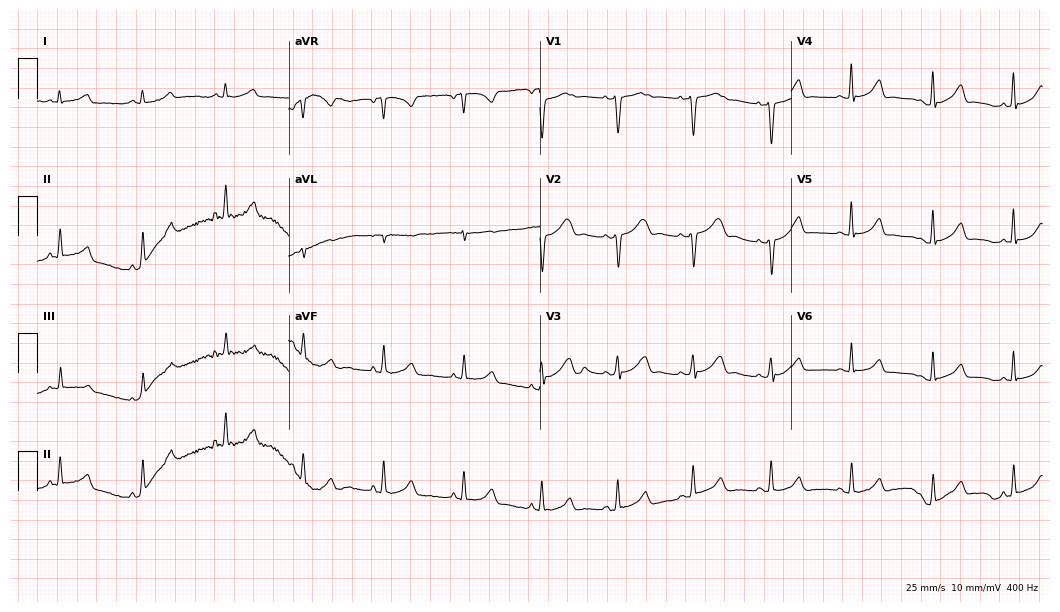
12-lead ECG from a woman, 39 years old. Labelled as a normal ECG.